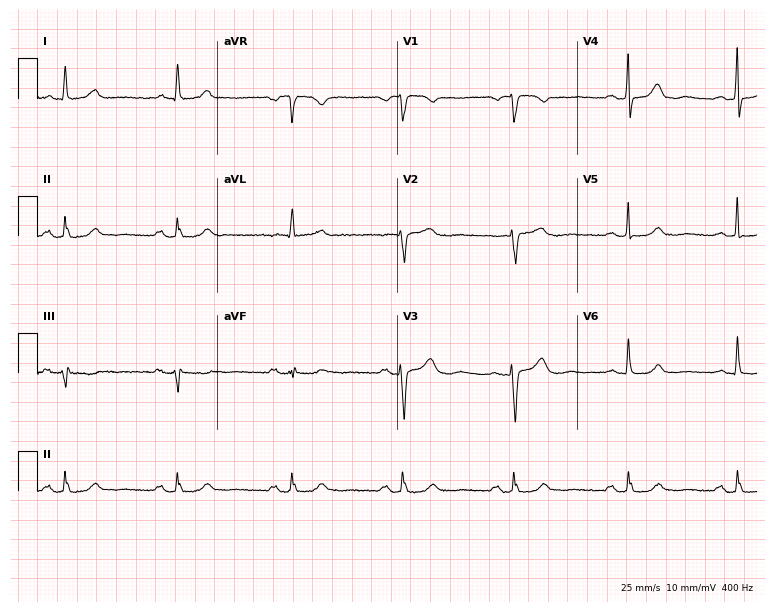
12-lead ECG (7.3-second recording at 400 Hz) from a 76-year-old woman. Labelled as a normal ECG.